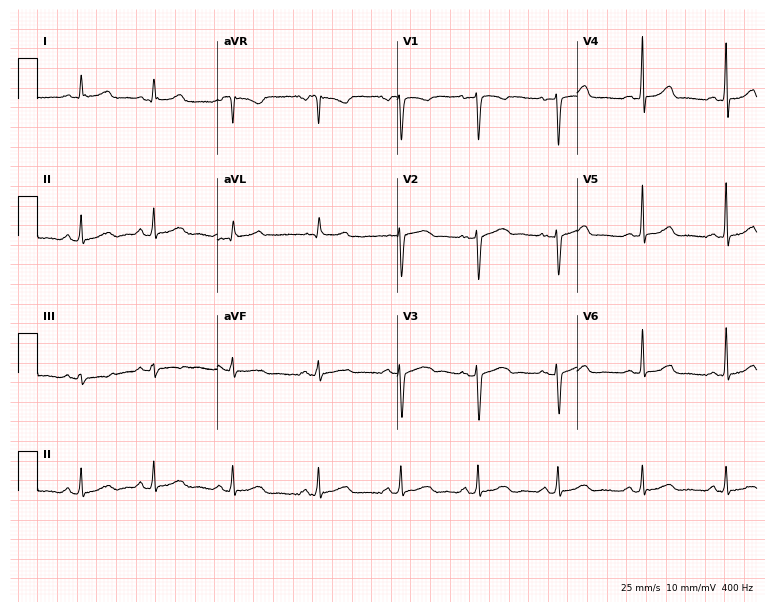
Resting 12-lead electrocardiogram (7.3-second recording at 400 Hz). Patient: a 47-year-old woman. Read as a normal ECG.